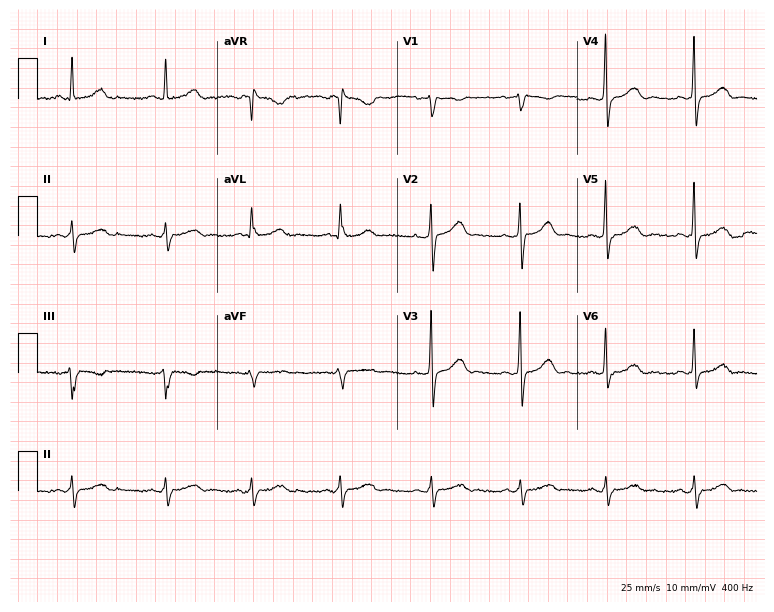
Standard 12-lead ECG recorded from a 49-year-old woman (7.3-second recording at 400 Hz). None of these six findings is recorded: first-degree AV block, right bundle branch block, left bundle branch block, sinus bradycardia, atrial fibrillation, sinus tachycardia. Only these six findings were labelled.